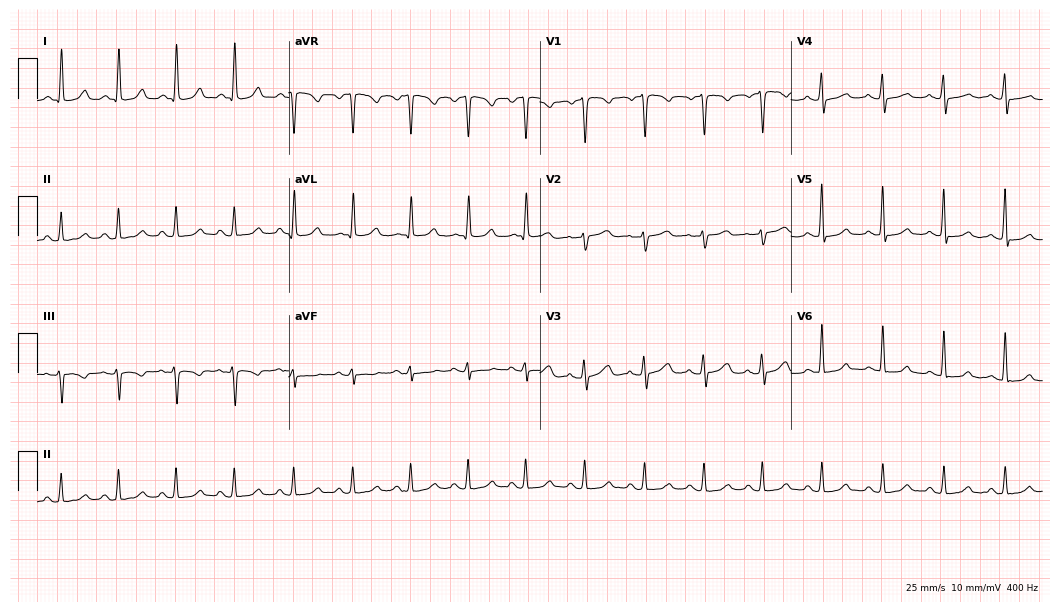
12-lead ECG from a 63-year-old female. Shows sinus tachycardia (a sinus rate of 100 beats per minute or more).